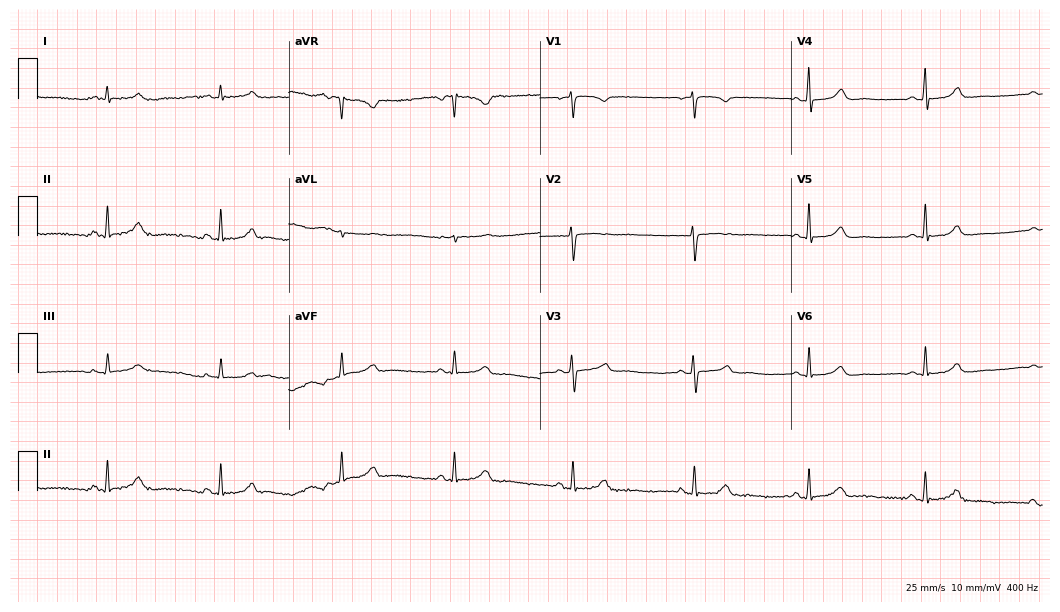
Electrocardiogram, a woman, 55 years old. Of the six screened findings (first-degree AV block, right bundle branch block (RBBB), left bundle branch block (LBBB), sinus bradycardia, atrial fibrillation (AF), sinus tachycardia), none is recorded.